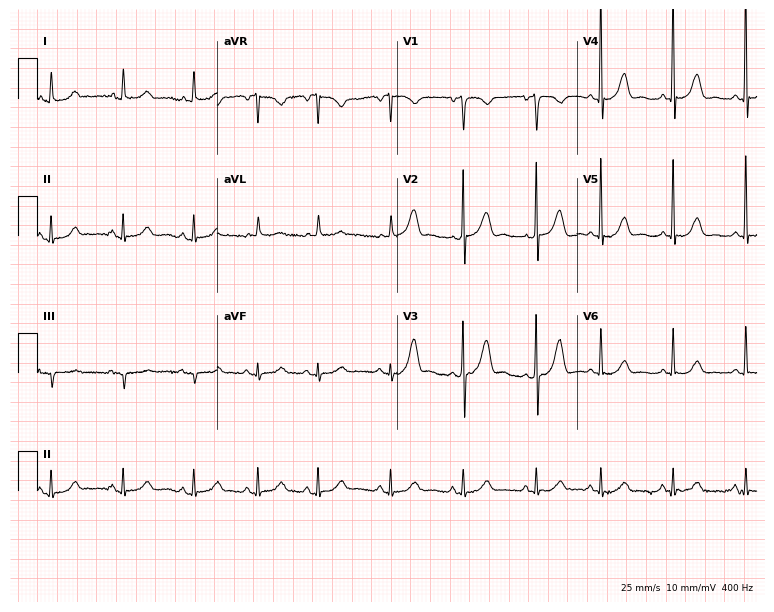
Standard 12-lead ECG recorded from a woman, 84 years old. Read as a normal ECG.